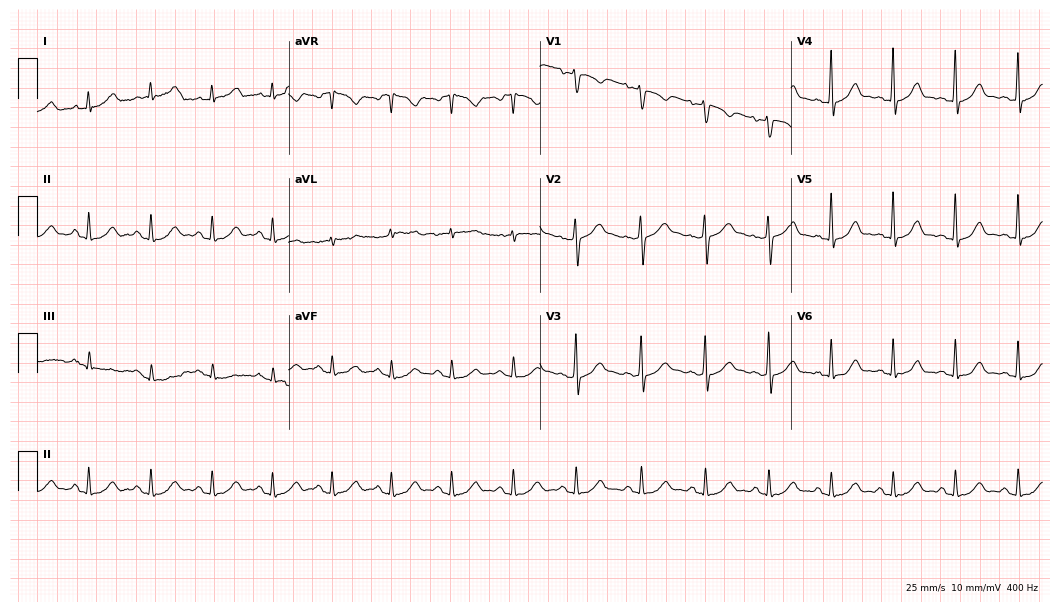
Standard 12-lead ECG recorded from a man, 52 years old. Read as a normal ECG.